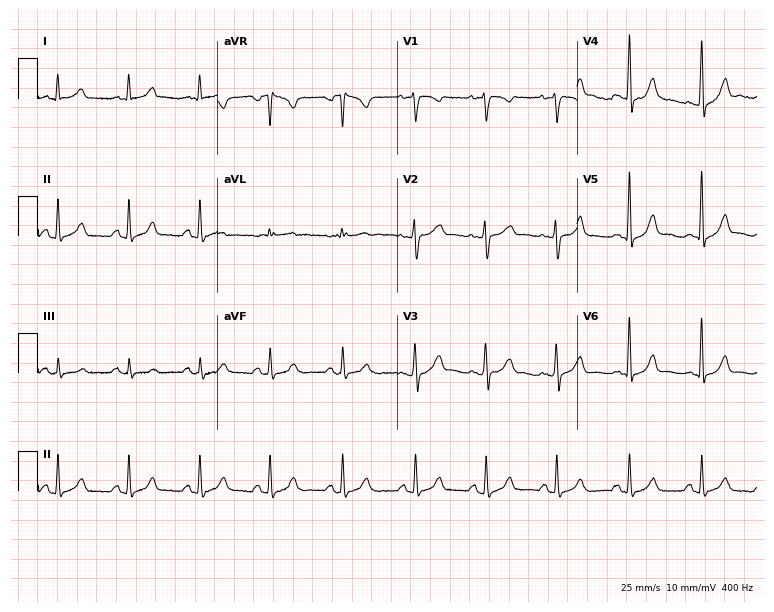
ECG (7.3-second recording at 400 Hz) — a 31-year-old female patient. Labelled as a normal ECG.